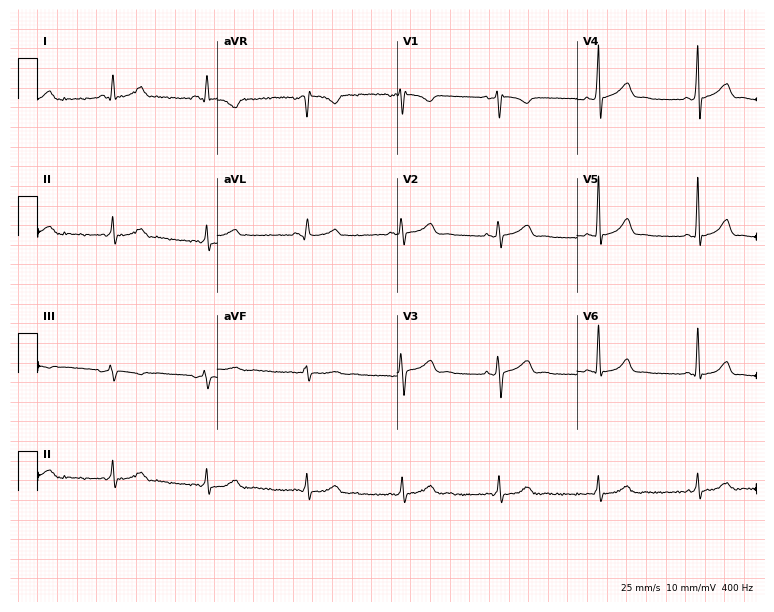
12-lead ECG from a 33-year-old female. Screened for six findings — first-degree AV block, right bundle branch block, left bundle branch block, sinus bradycardia, atrial fibrillation, sinus tachycardia — none is recorded.